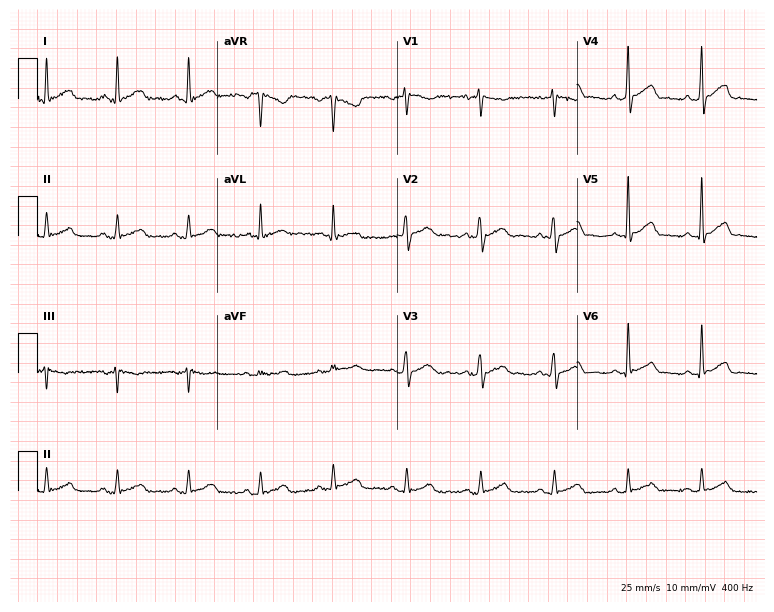
Standard 12-lead ECG recorded from a man, 45 years old. None of these six findings is recorded: first-degree AV block, right bundle branch block (RBBB), left bundle branch block (LBBB), sinus bradycardia, atrial fibrillation (AF), sinus tachycardia.